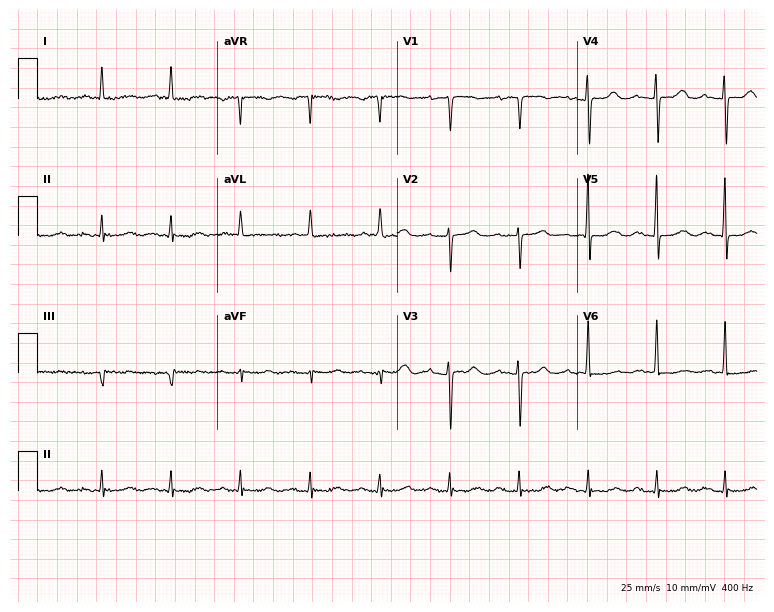
Electrocardiogram (7.3-second recording at 400 Hz), a 79-year-old female patient. Of the six screened findings (first-degree AV block, right bundle branch block (RBBB), left bundle branch block (LBBB), sinus bradycardia, atrial fibrillation (AF), sinus tachycardia), none is recorded. Findings outside these six are not listed.